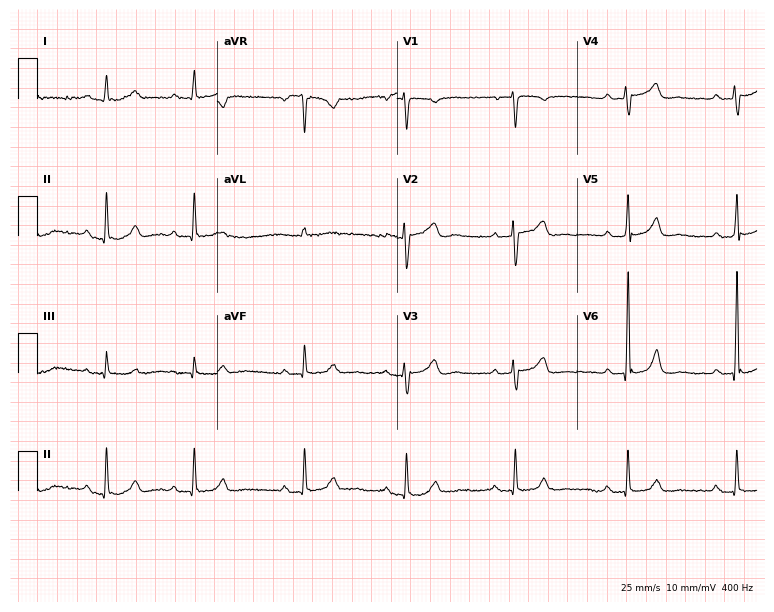
ECG (7.3-second recording at 400 Hz) — a female patient, 70 years old. Findings include first-degree AV block.